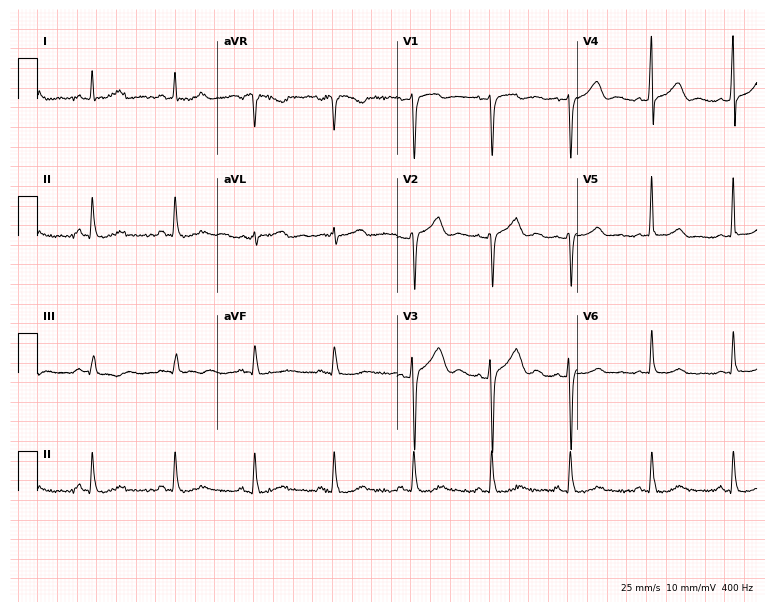
12-lead ECG (7.3-second recording at 400 Hz) from a man, 40 years old. Screened for six findings — first-degree AV block, right bundle branch block (RBBB), left bundle branch block (LBBB), sinus bradycardia, atrial fibrillation (AF), sinus tachycardia — none is recorded.